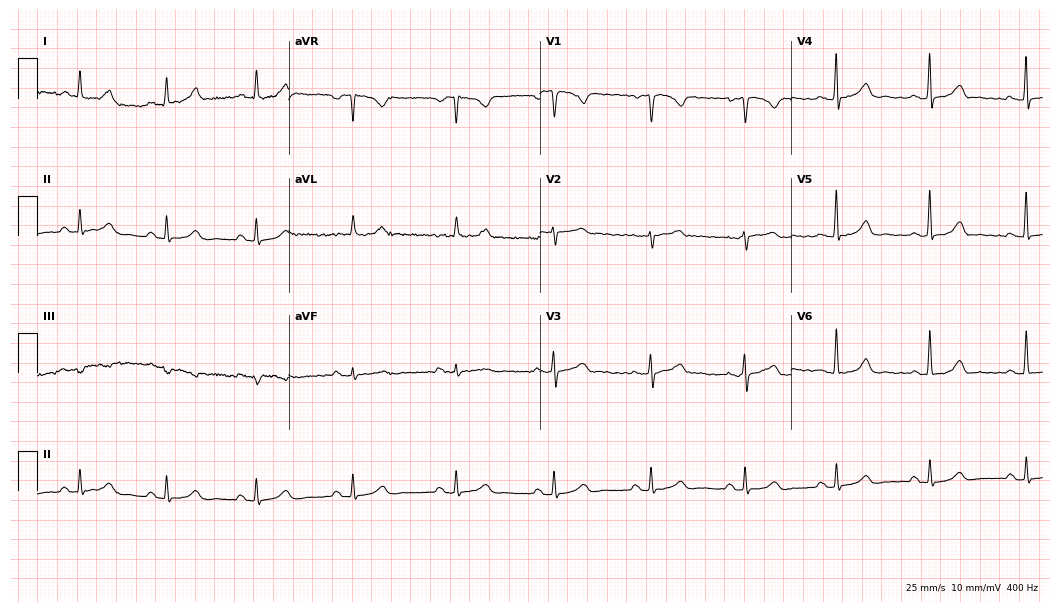
Resting 12-lead electrocardiogram. Patient: a woman, 51 years old. Read as a normal ECG.